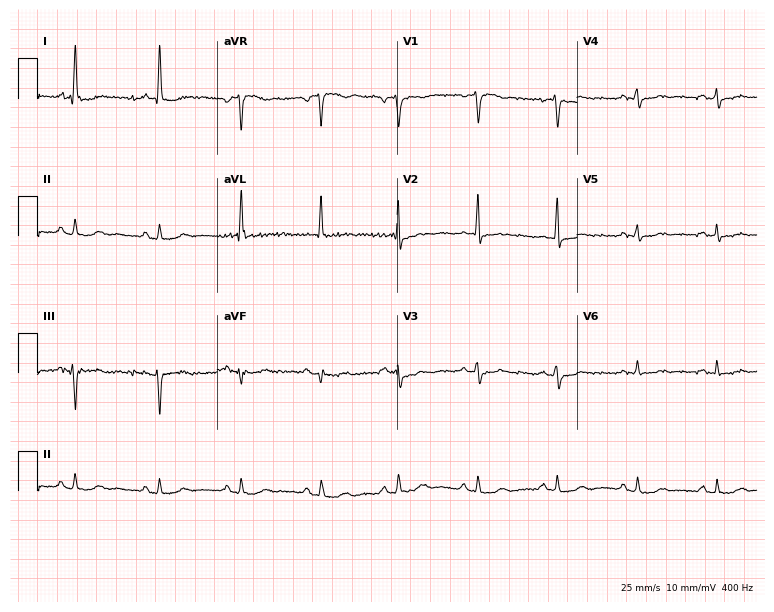
12-lead ECG (7.3-second recording at 400 Hz) from a 78-year-old woman. Screened for six findings — first-degree AV block, right bundle branch block (RBBB), left bundle branch block (LBBB), sinus bradycardia, atrial fibrillation (AF), sinus tachycardia — none is recorded. Only these six findings were labelled.